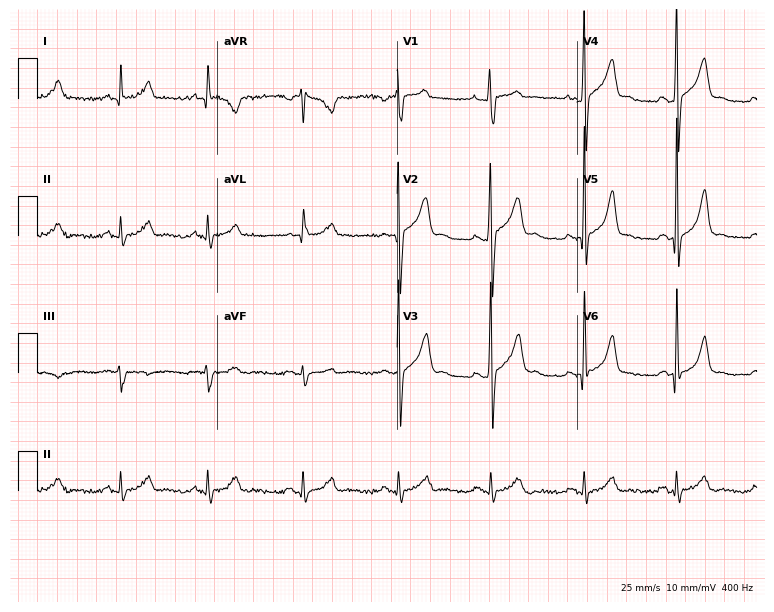
12-lead ECG from a 38-year-old male (7.3-second recording at 400 Hz). No first-degree AV block, right bundle branch block, left bundle branch block, sinus bradycardia, atrial fibrillation or sinus tachycardia recorded for this tracing.